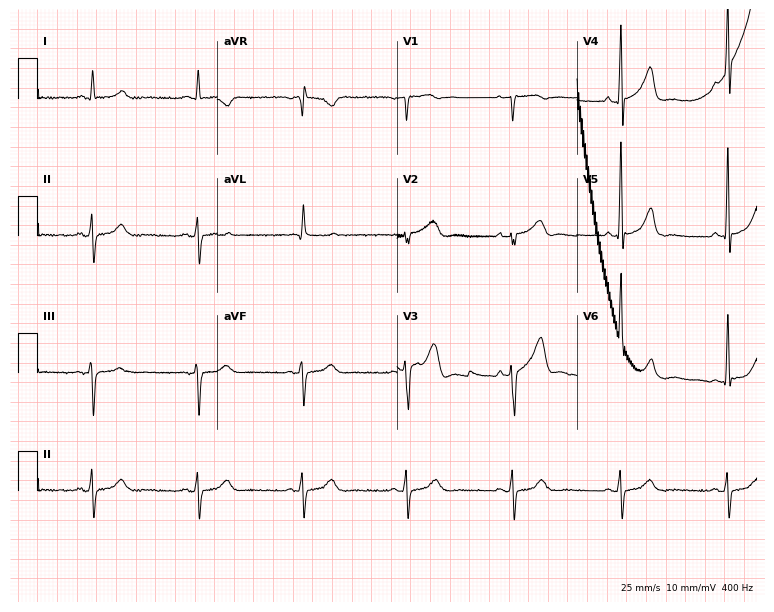
12-lead ECG from a 70-year-old male patient. Screened for six findings — first-degree AV block, right bundle branch block, left bundle branch block, sinus bradycardia, atrial fibrillation, sinus tachycardia — none is recorded.